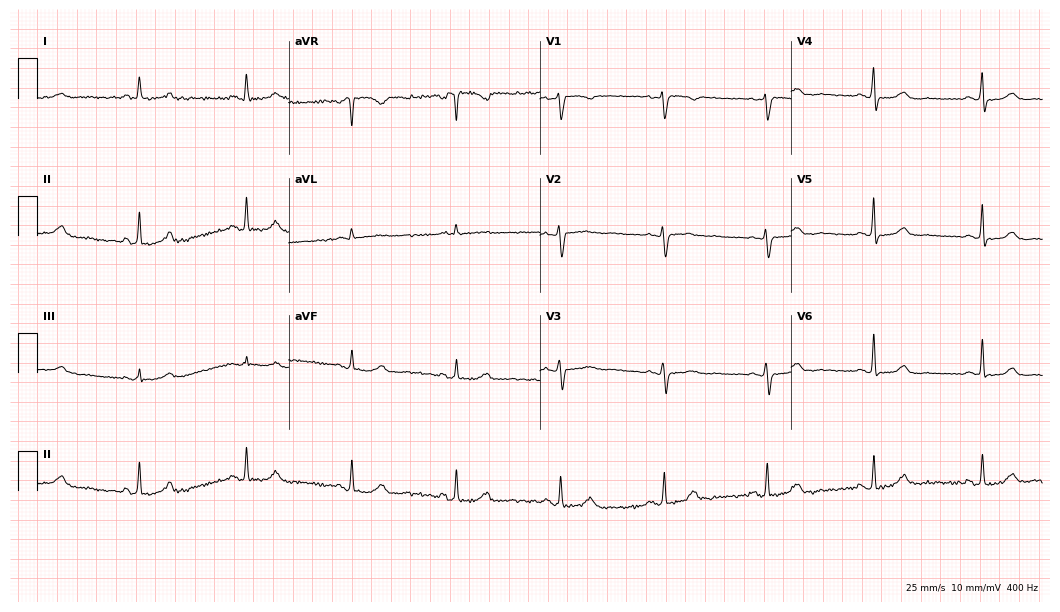
ECG — a 51-year-old female patient. Labelled as a normal ECG.